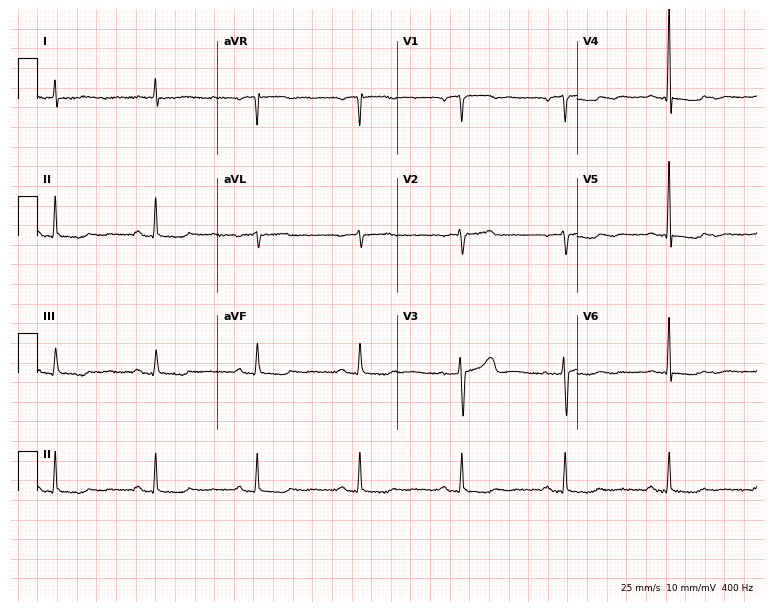
Standard 12-lead ECG recorded from a female patient, 66 years old. None of these six findings is recorded: first-degree AV block, right bundle branch block, left bundle branch block, sinus bradycardia, atrial fibrillation, sinus tachycardia. Findings outside these six are not listed.